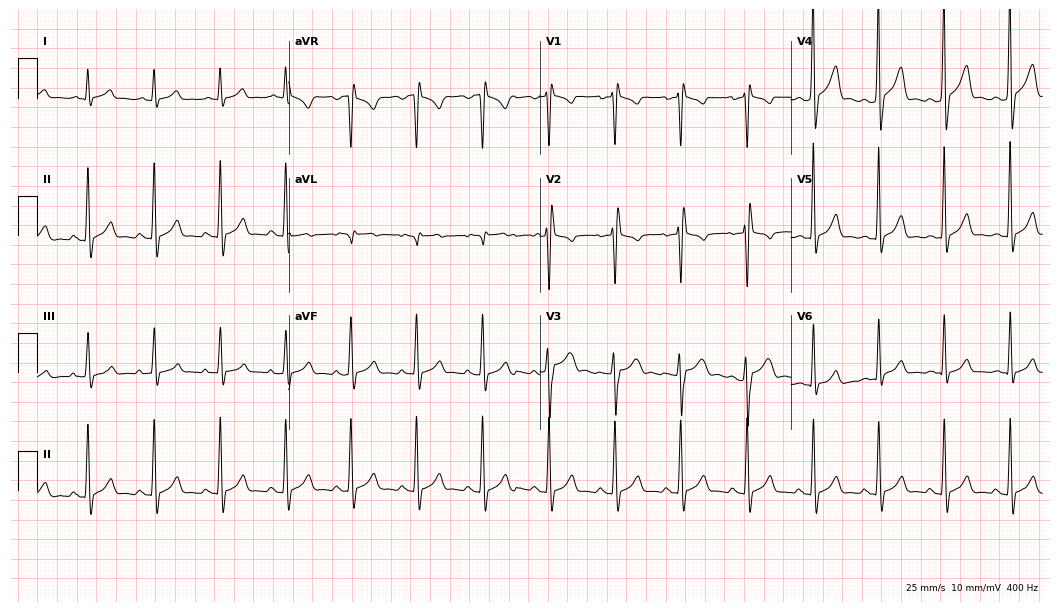
Resting 12-lead electrocardiogram (10.2-second recording at 400 Hz). Patient: a 17-year-old male. None of these six findings is recorded: first-degree AV block, right bundle branch block, left bundle branch block, sinus bradycardia, atrial fibrillation, sinus tachycardia.